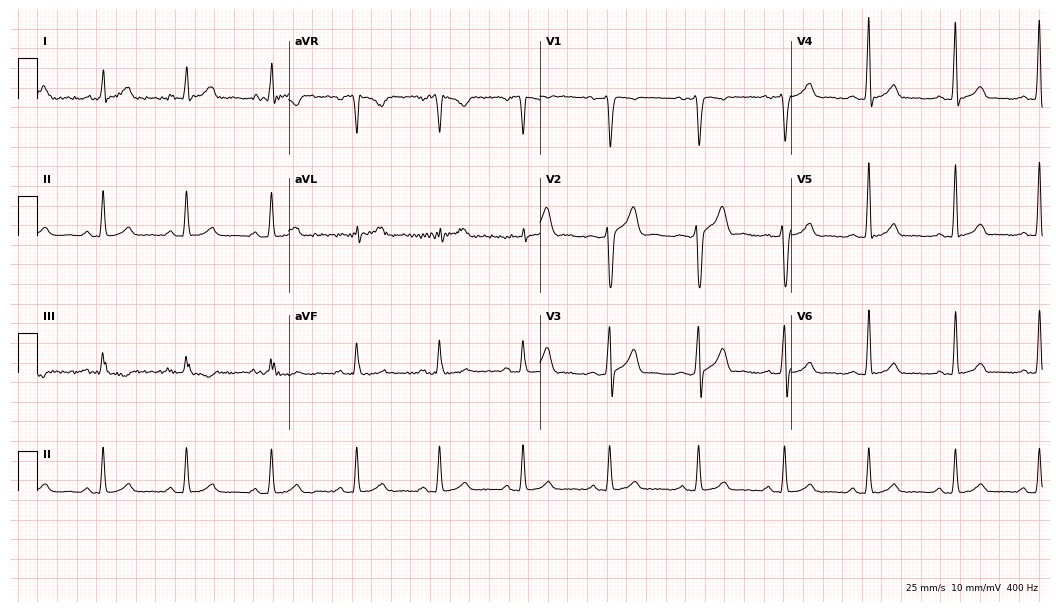
12-lead ECG from a 33-year-old male. Recorded interpretation: within normal limits.